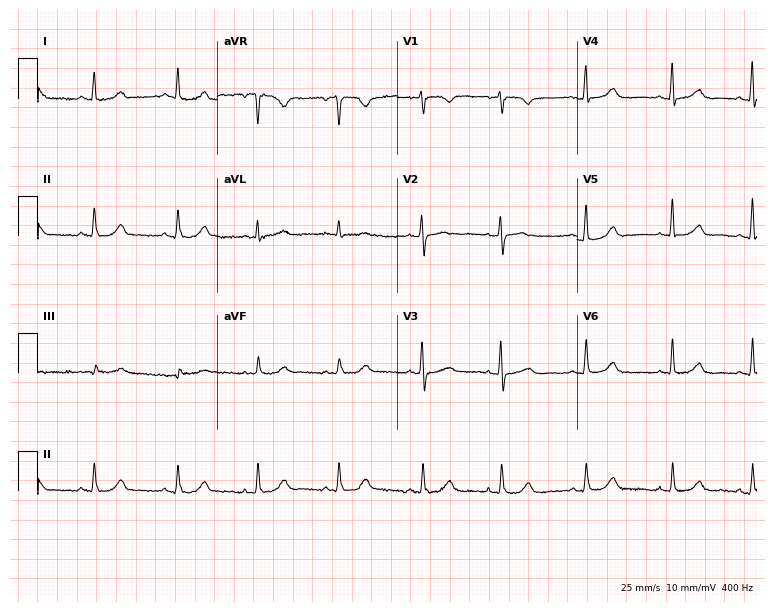
12-lead ECG from a female, 63 years old. Labelled as a normal ECG.